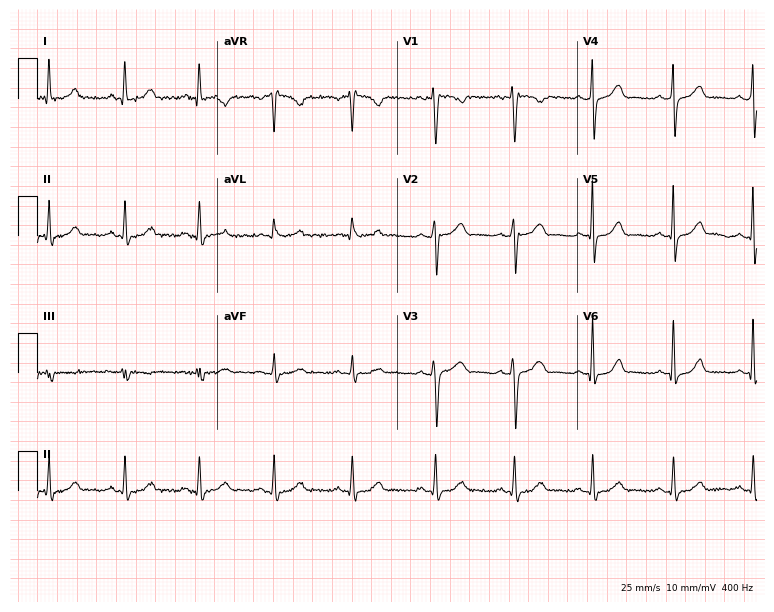
Resting 12-lead electrocardiogram. Patient: a woman, 41 years old. None of these six findings is recorded: first-degree AV block, right bundle branch block, left bundle branch block, sinus bradycardia, atrial fibrillation, sinus tachycardia. Findings outside these six are not listed.